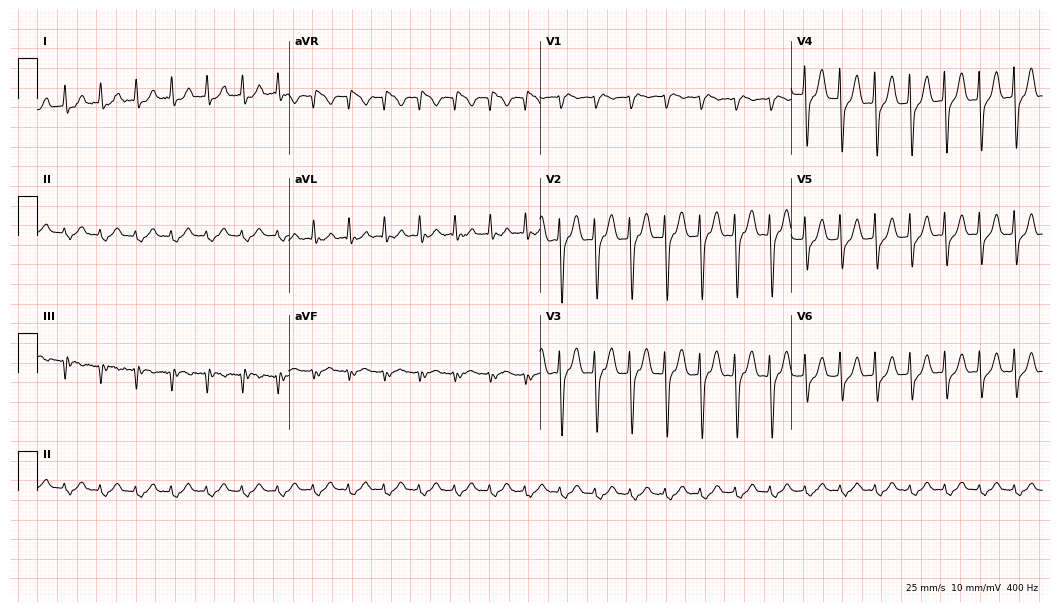
Electrocardiogram, an 81-year-old man. Interpretation includes sinus tachycardia (a sinus rate of 100 beats per minute or more).